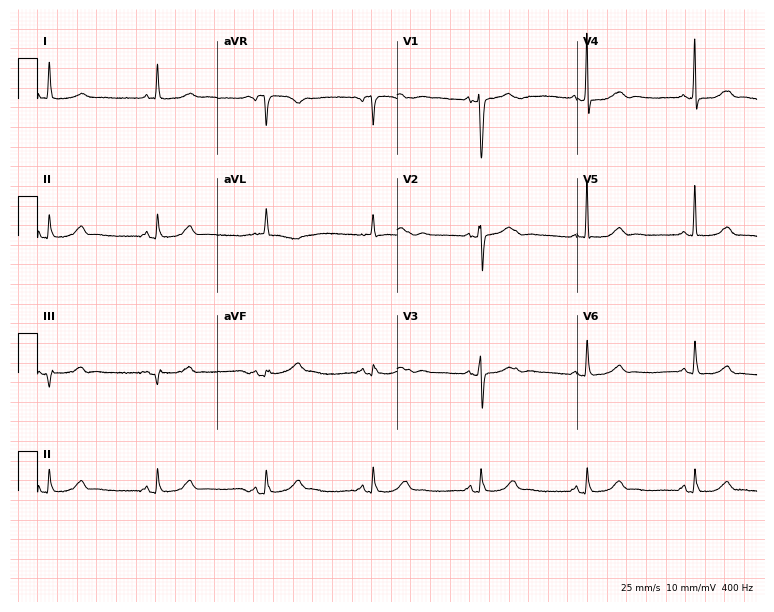
Resting 12-lead electrocardiogram (7.3-second recording at 400 Hz). Patient: an 83-year-old female. Read as a normal ECG.